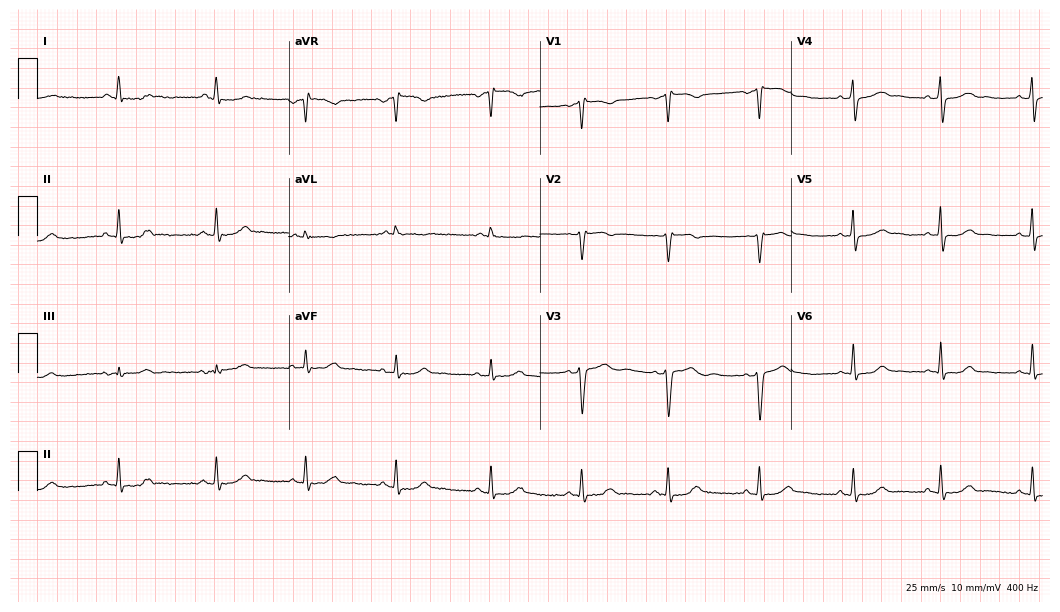
12-lead ECG from a 50-year-old female (10.2-second recording at 400 Hz). No first-degree AV block, right bundle branch block (RBBB), left bundle branch block (LBBB), sinus bradycardia, atrial fibrillation (AF) or sinus tachycardia recorded for this tracing.